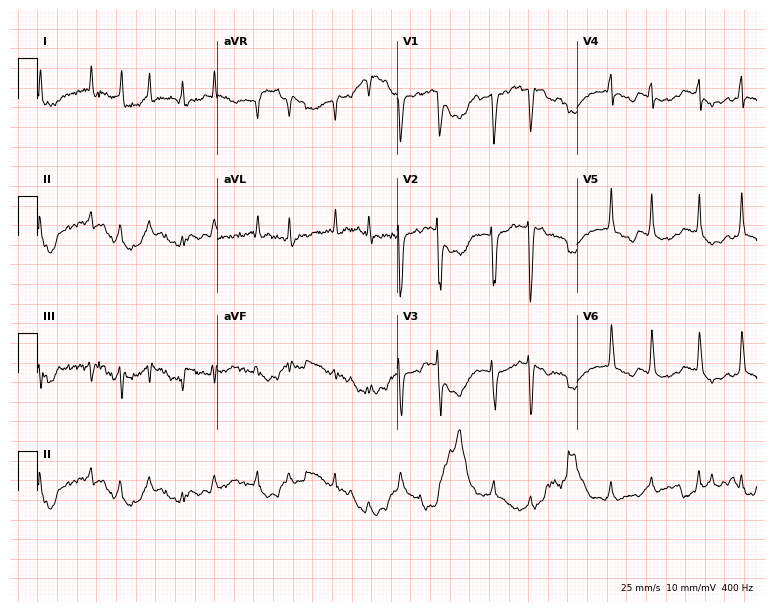
Resting 12-lead electrocardiogram (7.3-second recording at 400 Hz). Patient: a female, 67 years old. None of these six findings is recorded: first-degree AV block, right bundle branch block, left bundle branch block, sinus bradycardia, atrial fibrillation, sinus tachycardia. Only these six findings were labelled.